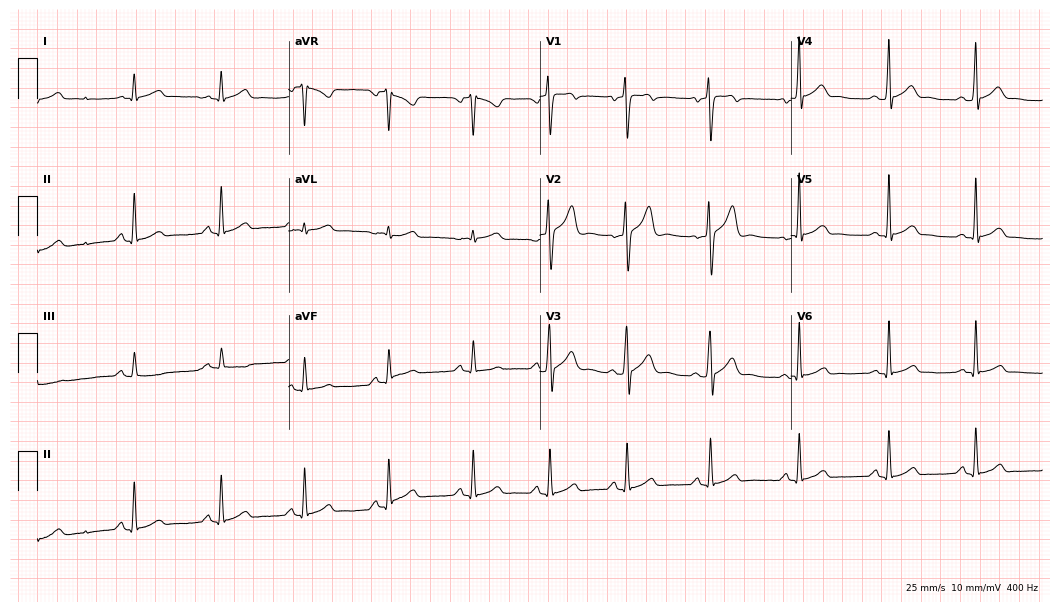
12-lead ECG (10.2-second recording at 400 Hz) from a male, 22 years old. Labelled as a normal ECG.